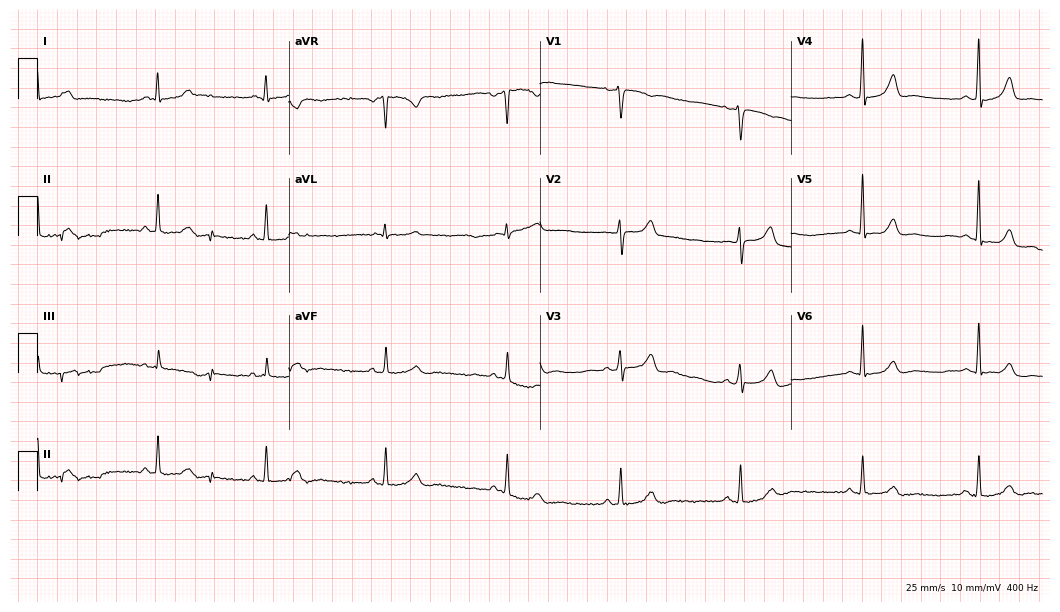
Electrocardiogram, a male patient, 43 years old. Of the six screened findings (first-degree AV block, right bundle branch block (RBBB), left bundle branch block (LBBB), sinus bradycardia, atrial fibrillation (AF), sinus tachycardia), none is recorded.